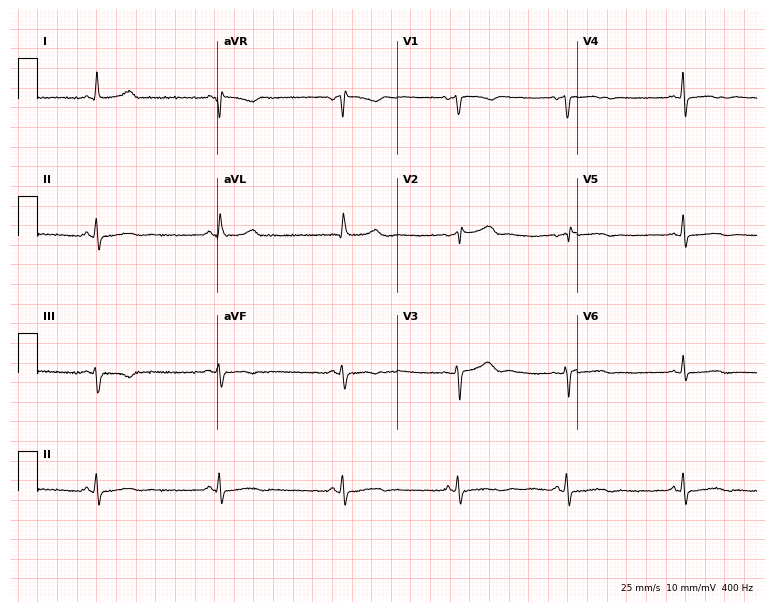
Standard 12-lead ECG recorded from a 35-year-old female (7.3-second recording at 400 Hz). Read as a normal ECG.